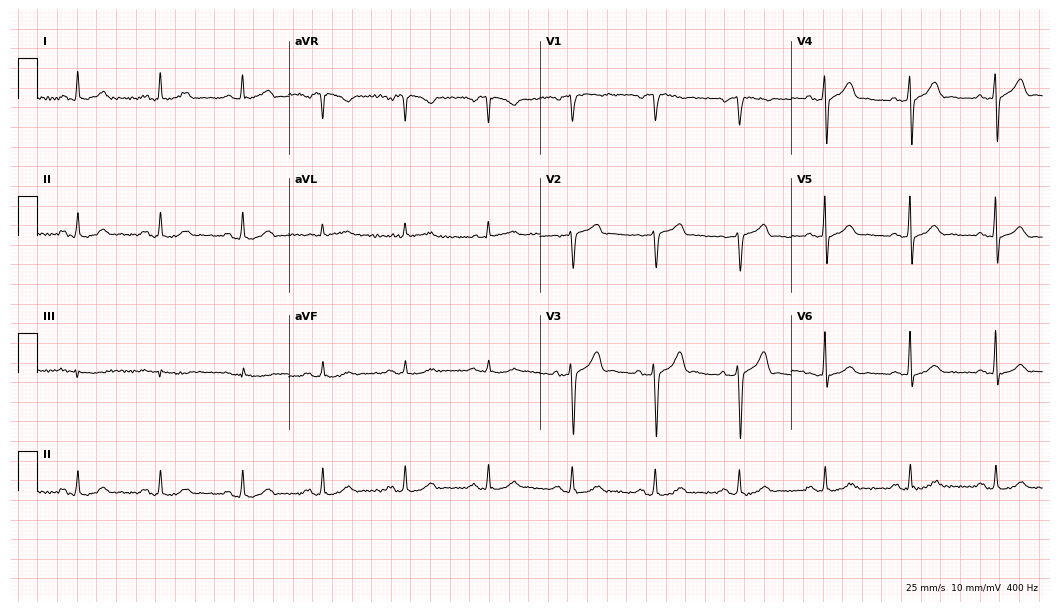
12-lead ECG from a 58-year-old male patient (10.2-second recording at 400 Hz). Recorded interpretation: within normal limits.